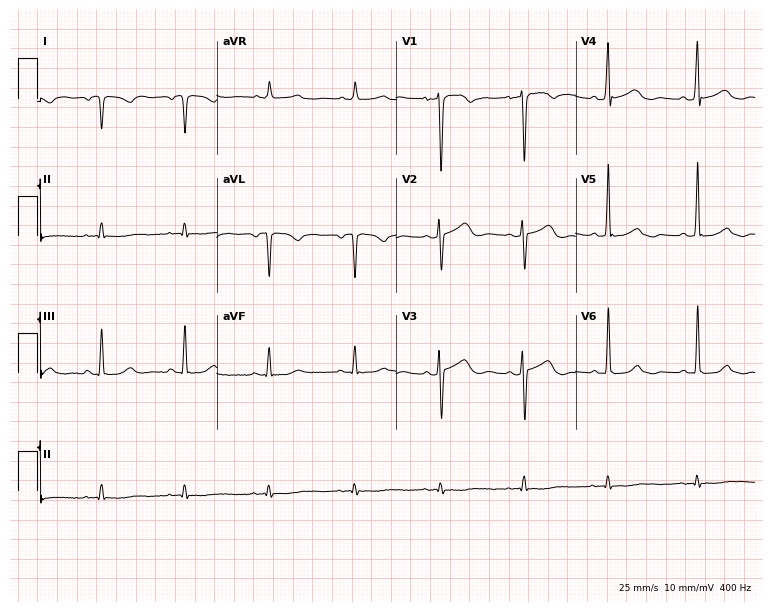
Standard 12-lead ECG recorded from a 51-year-old woman (7.3-second recording at 400 Hz). None of these six findings is recorded: first-degree AV block, right bundle branch block, left bundle branch block, sinus bradycardia, atrial fibrillation, sinus tachycardia.